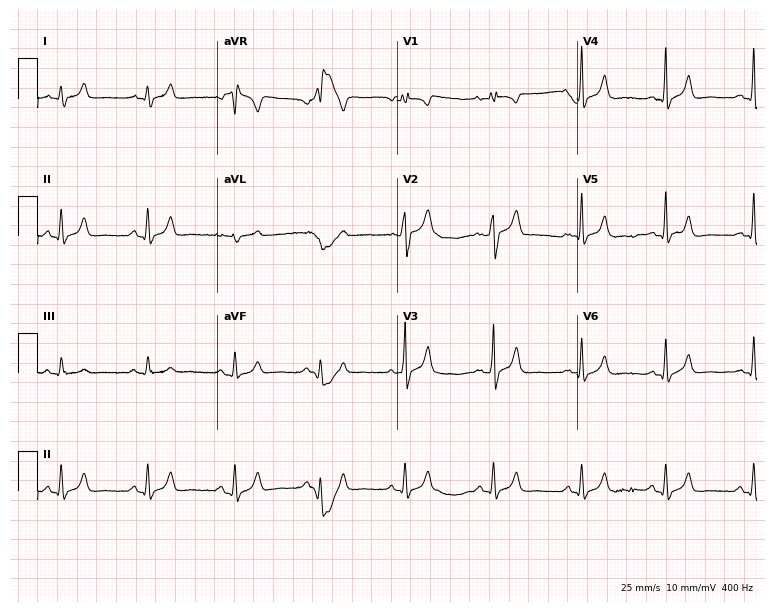
Standard 12-lead ECG recorded from a 34-year-old male patient (7.3-second recording at 400 Hz). None of these six findings is recorded: first-degree AV block, right bundle branch block, left bundle branch block, sinus bradycardia, atrial fibrillation, sinus tachycardia. Findings outside these six are not listed.